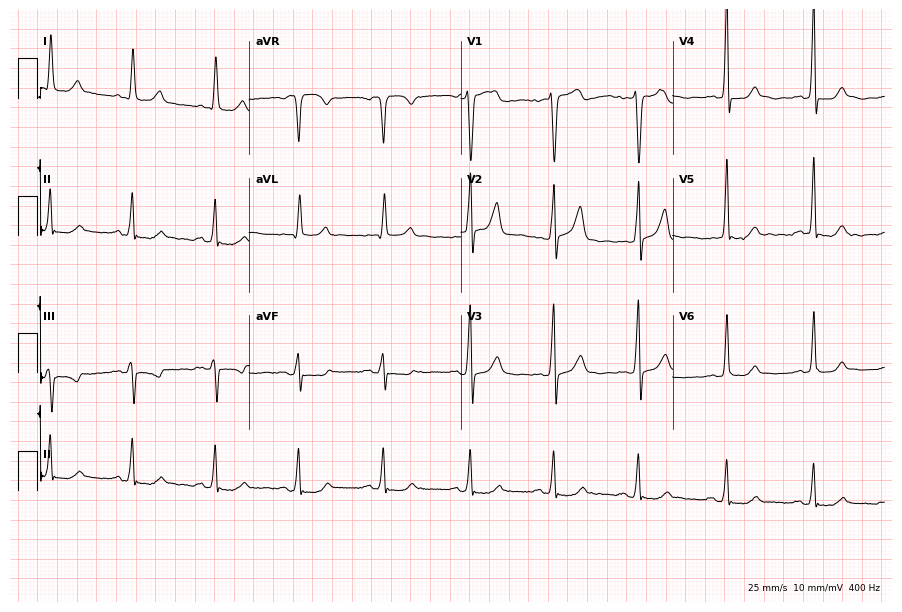
12-lead ECG from a 52-year-old woman. Screened for six findings — first-degree AV block, right bundle branch block, left bundle branch block, sinus bradycardia, atrial fibrillation, sinus tachycardia — none is recorded. Findings outside these six are not listed.